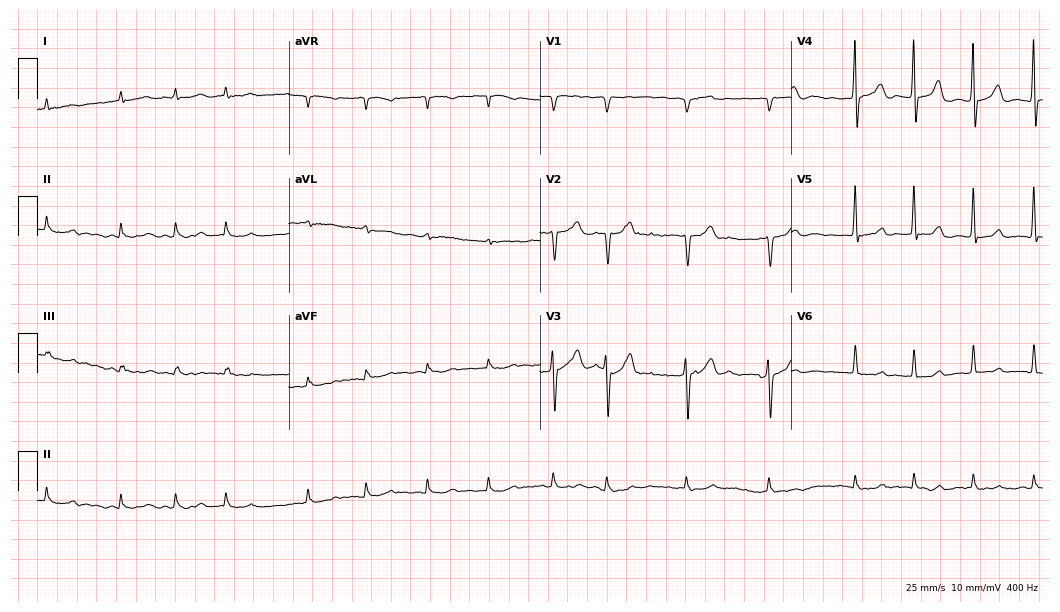
12-lead ECG from a male patient, 83 years old. Shows atrial fibrillation.